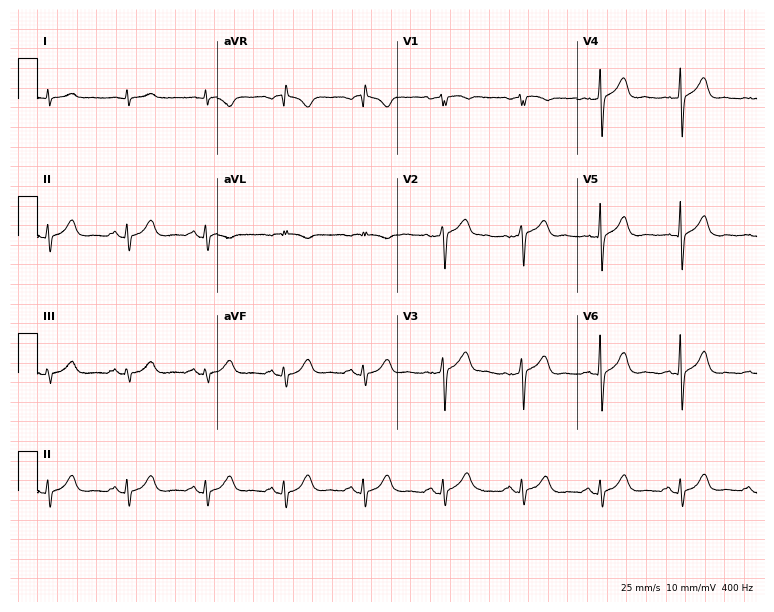
12-lead ECG (7.3-second recording at 400 Hz) from a male, 54 years old. Screened for six findings — first-degree AV block, right bundle branch block (RBBB), left bundle branch block (LBBB), sinus bradycardia, atrial fibrillation (AF), sinus tachycardia — none is recorded. Findings outside these six are not listed.